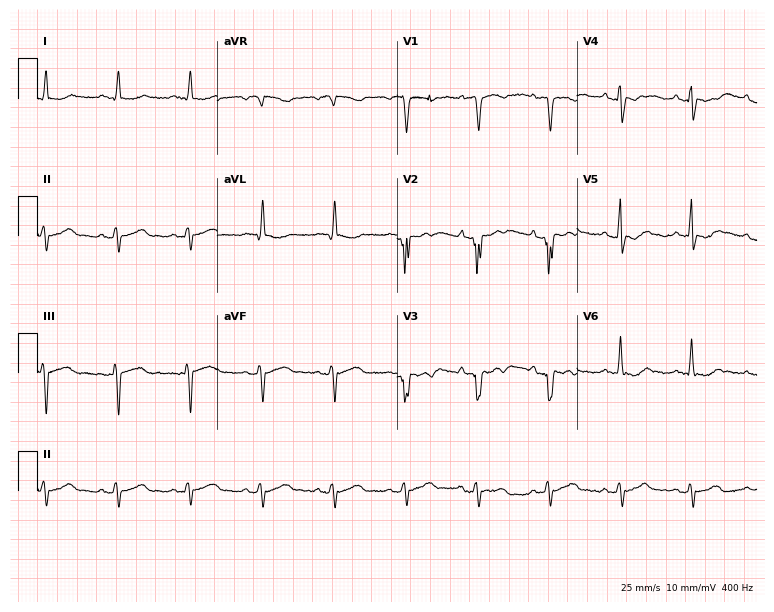
ECG — a male patient, 85 years old. Screened for six findings — first-degree AV block, right bundle branch block, left bundle branch block, sinus bradycardia, atrial fibrillation, sinus tachycardia — none is recorded. Only these six findings were labelled.